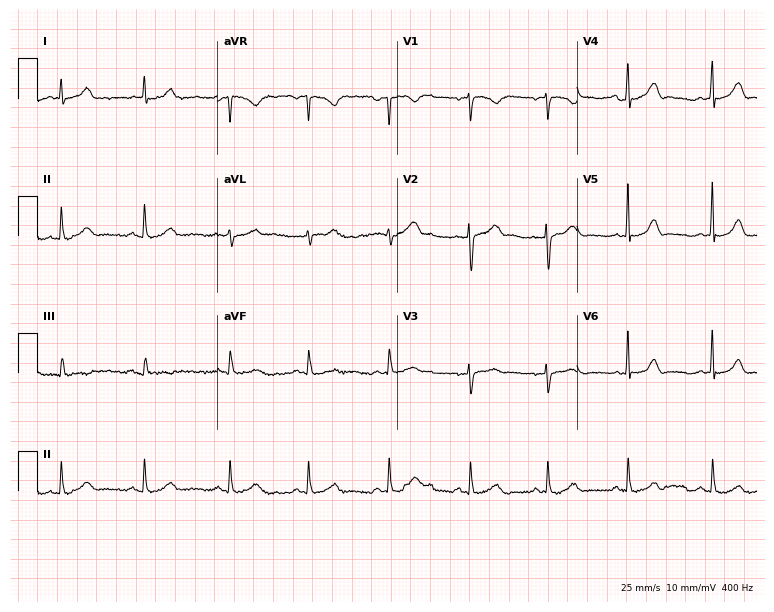
12-lead ECG from a female, 25 years old. Recorded interpretation: within normal limits.